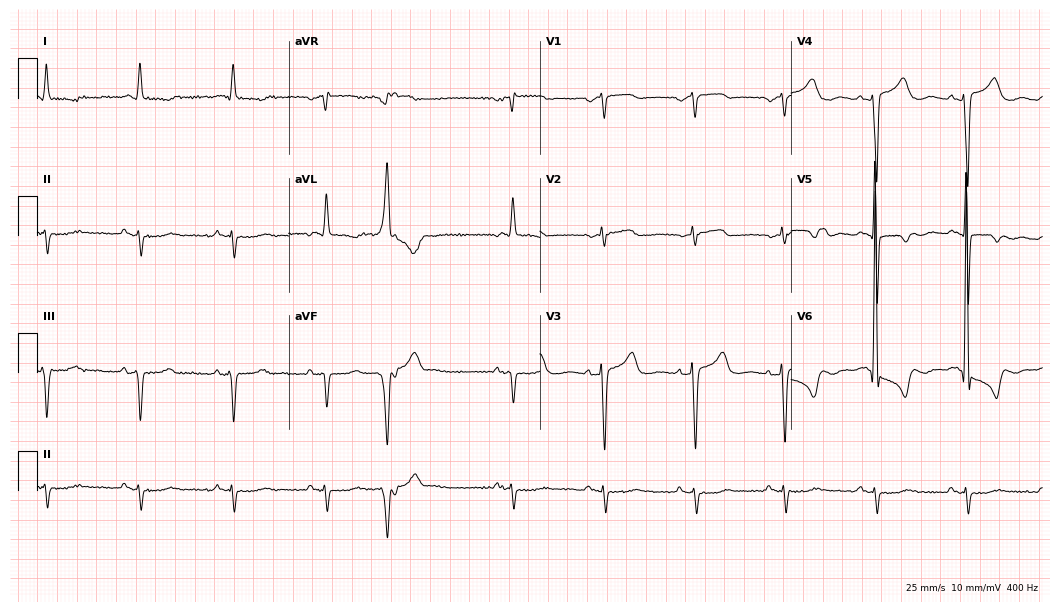
12-lead ECG from an 81-year-old male (10.2-second recording at 400 Hz). No first-degree AV block, right bundle branch block, left bundle branch block, sinus bradycardia, atrial fibrillation or sinus tachycardia recorded for this tracing. Only these six findings were labelled.